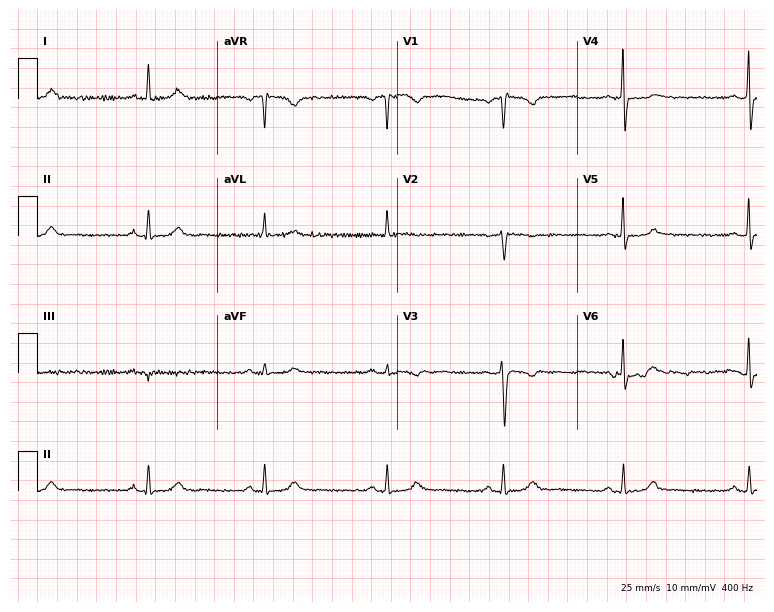
Electrocardiogram (7.3-second recording at 400 Hz), a female patient, 50 years old. Of the six screened findings (first-degree AV block, right bundle branch block (RBBB), left bundle branch block (LBBB), sinus bradycardia, atrial fibrillation (AF), sinus tachycardia), none is recorded. Other findings, if any, are not listed.